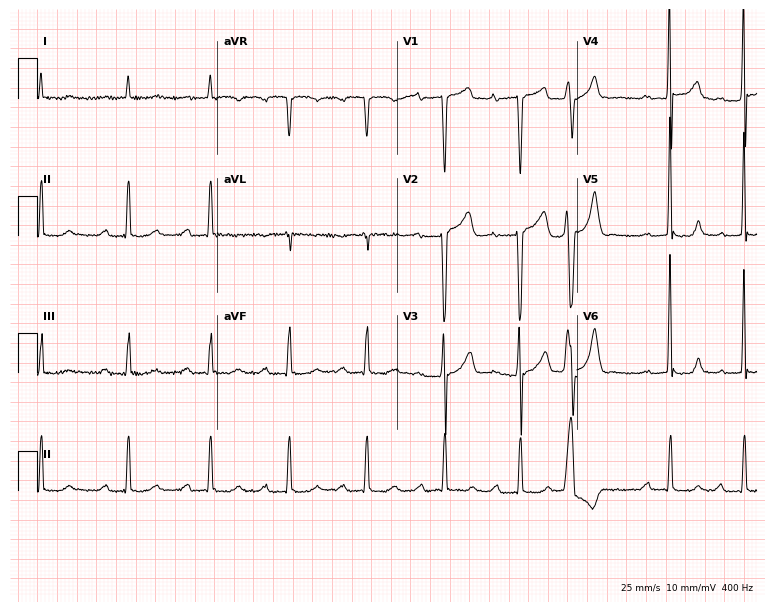
Standard 12-lead ECG recorded from an 82-year-old male patient (7.3-second recording at 400 Hz). The tracing shows first-degree AV block.